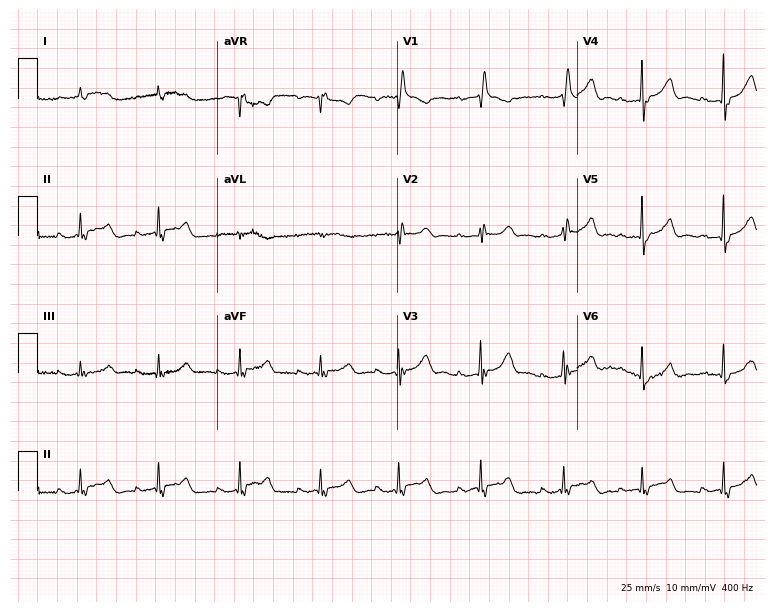
12-lead ECG from an 82-year-old man (7.3-second recording at 400 Hz). Shows first-degree AV block.